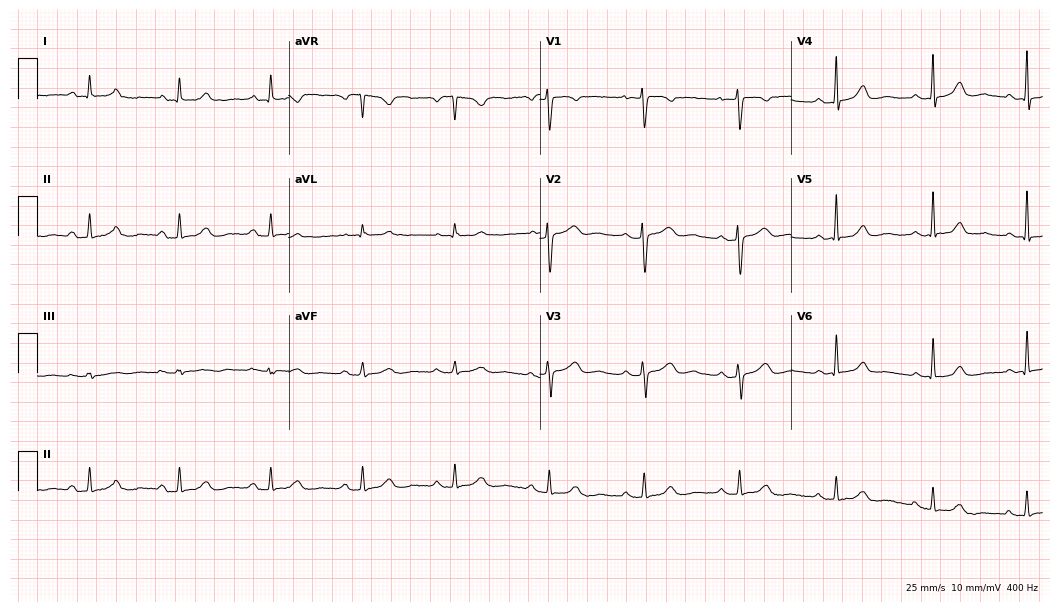
12-lead ECG (10.2-second recording at 400 Hz) from a female, 54 years old. Labelled as a normal ECG.